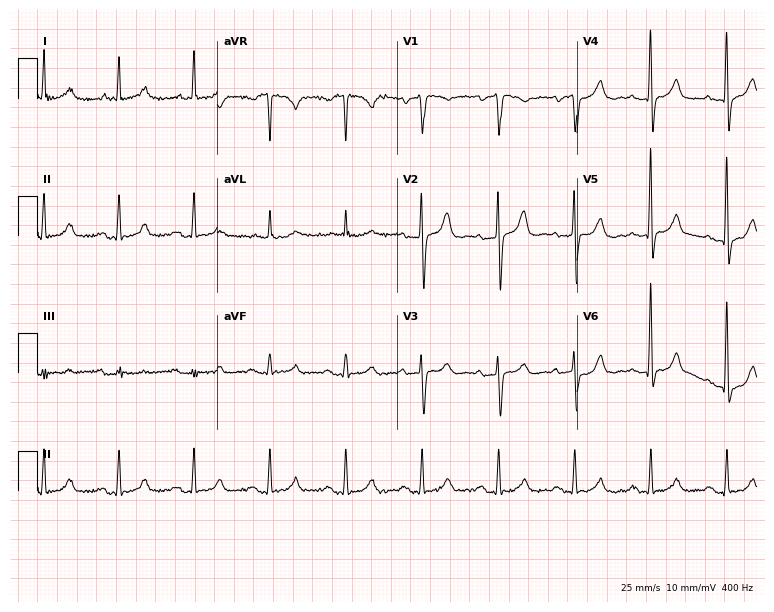
Electrocardiogram (7.3-second recording at 400 Hz), a male, 76 years old. Overall reading on record: normal ECG.